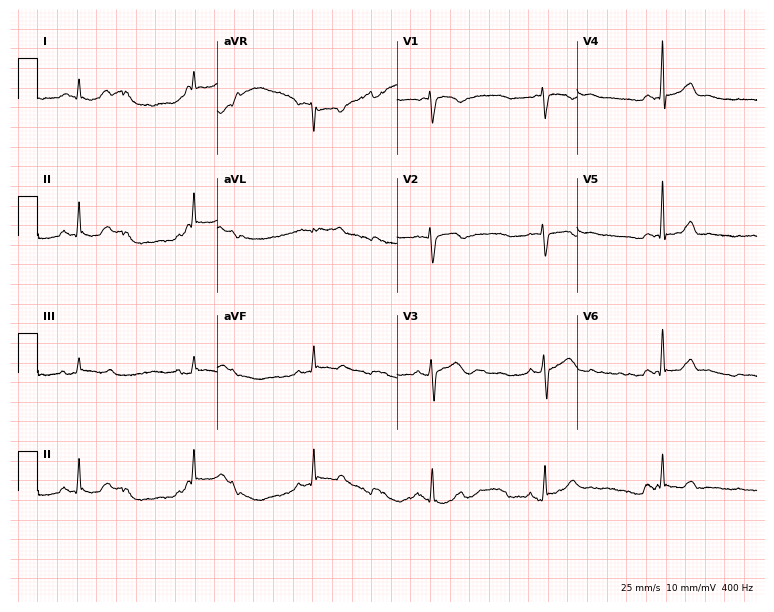
ECG (7.3-second recording at 400 Hz) — a 41-year-old man. Labelled as a normal ECG.